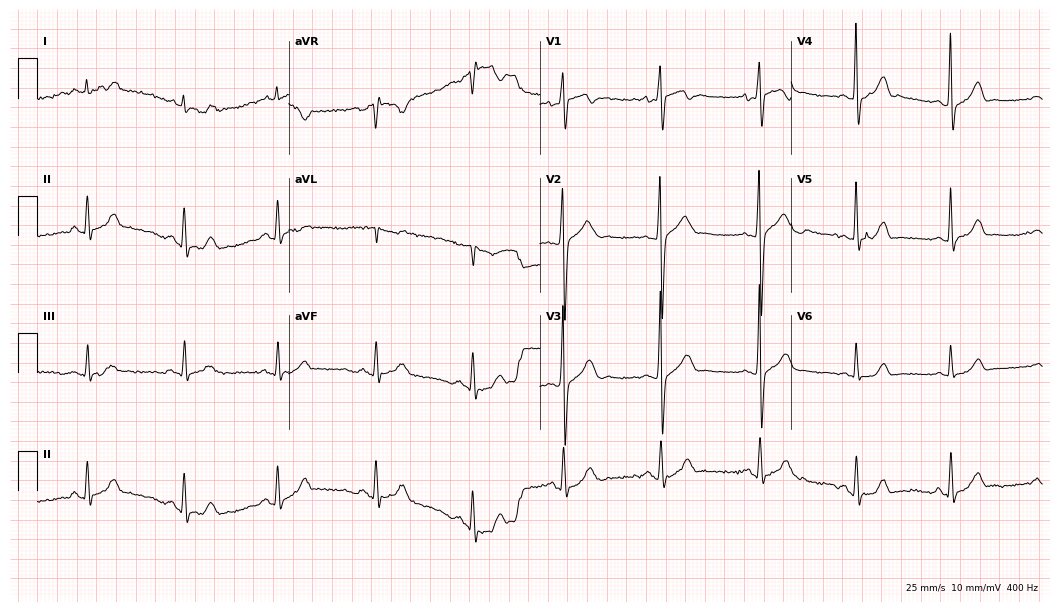
Electrocardiogram, a 28-year-old man. Overall reading on record: normal ECG.